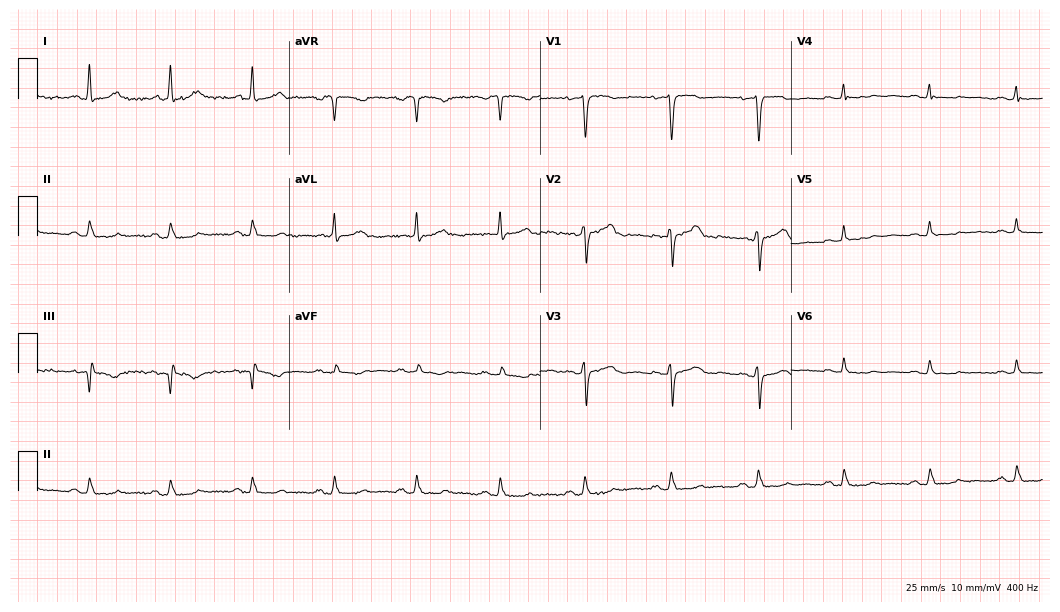
12-lead ECG from a female patient, 56 years old. No first-degree AV block, right bundle branch block (RBBB), left bundle branch block (LBBB), sinus bradycardia, atrial fibrillation (AF) or sinus tachycardia recorded for this tracing. Findings outside these six are not listed.